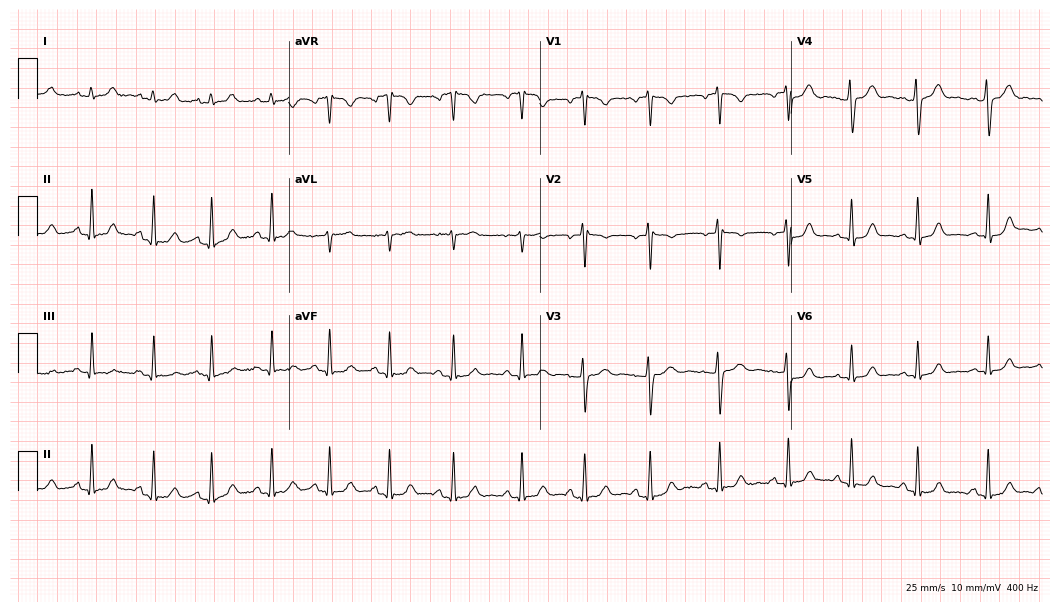
12-lead ECG from a female, 17 years old. Labelled as a normal ECG.